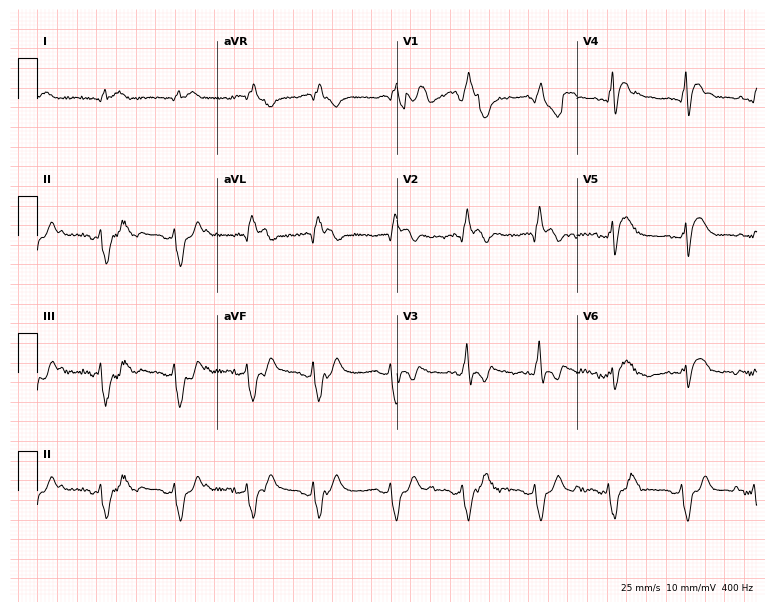
12-lead ECG from a 65-year-old male patient. No first-degree AV block, right bundle branch block, left bundle branch block, sinus bradycardia, atrial fibrillation or sinus tachycardia recorded for this tracing. Only these six findings were labelled.